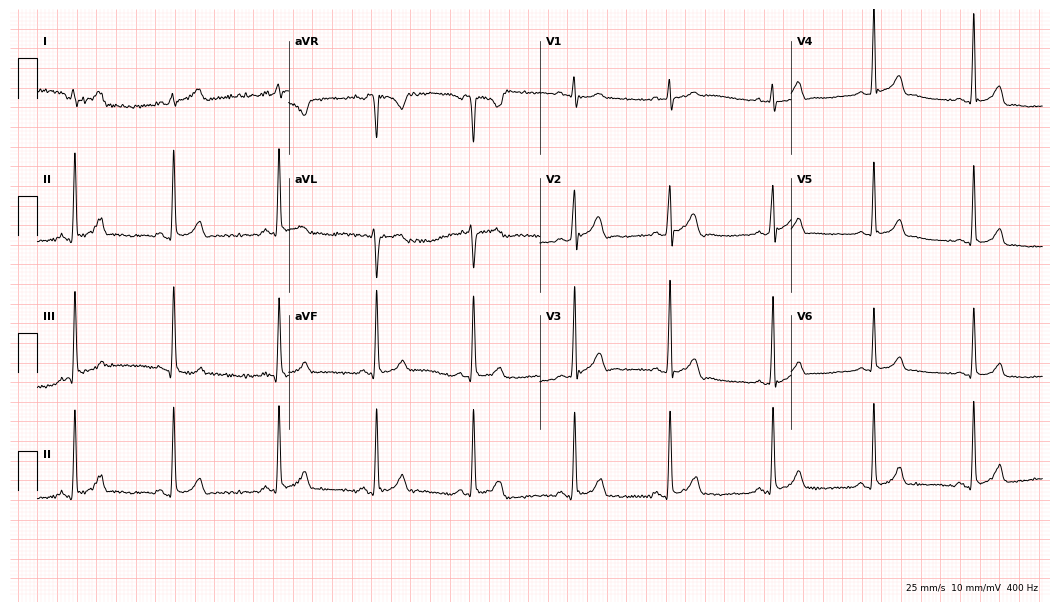
ECG (10.2-second recording at 400 Hz) — a male patient, 22 years old. Screened for six findings — first-degree AV block, right bundle branch block (RBBB), left bundle branch block (LBBB), sinus bradycardia, atrial fibrillation (AF), sinus tachycardia — none is recorded.